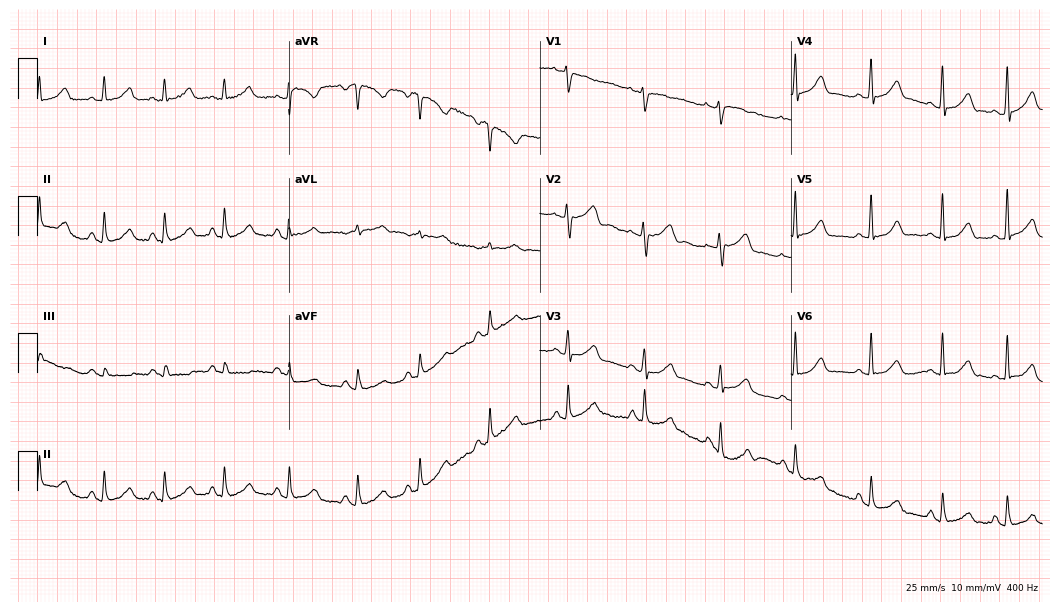
Electrocardiogram, a female, 39 years old. Overall reading on record: normal ECG.